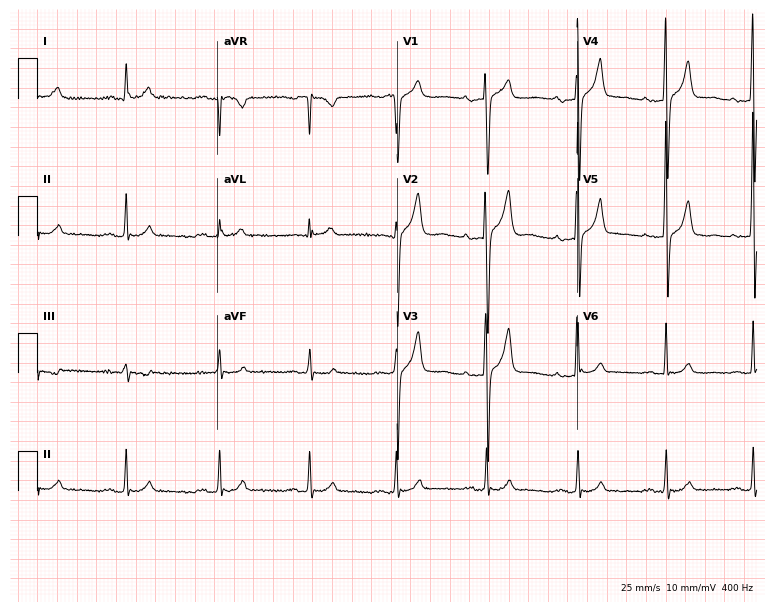
12-lead ECG from a female, 67 years old. Screened for six findings — first-degree AV block, right bundle branch block (RBBB), left bundle branch block (LBBB), sinus bradycardia, atrial fibrillation (AF), sinus tachycardia — none is recorded. Findings outside these six are not listed.